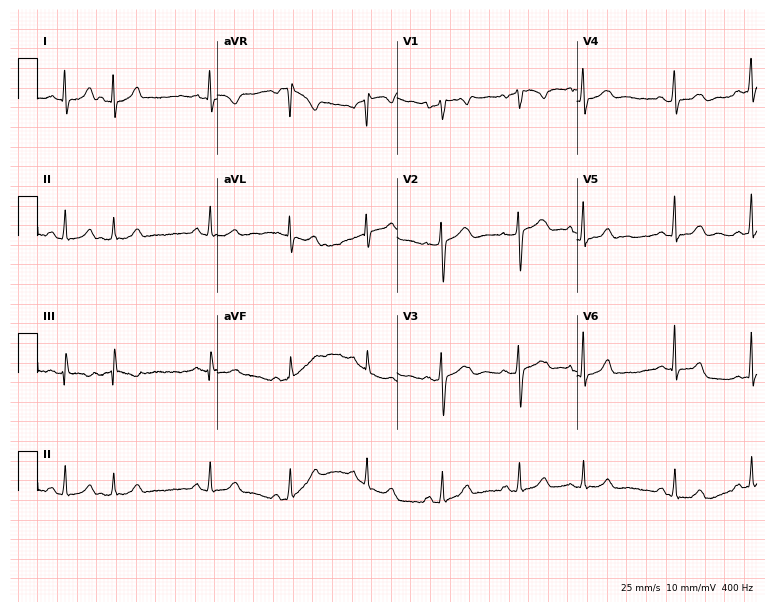
Resting 12-lead electrocardiogram. Patient: a 33-year-old woman. None of these six findings is recorded: first-degree AV block, right bundle branch block, left bundle branch block, sinus bradycardia, atrial fibrillation, sinus tachycardia. Only these six findings were labelled.